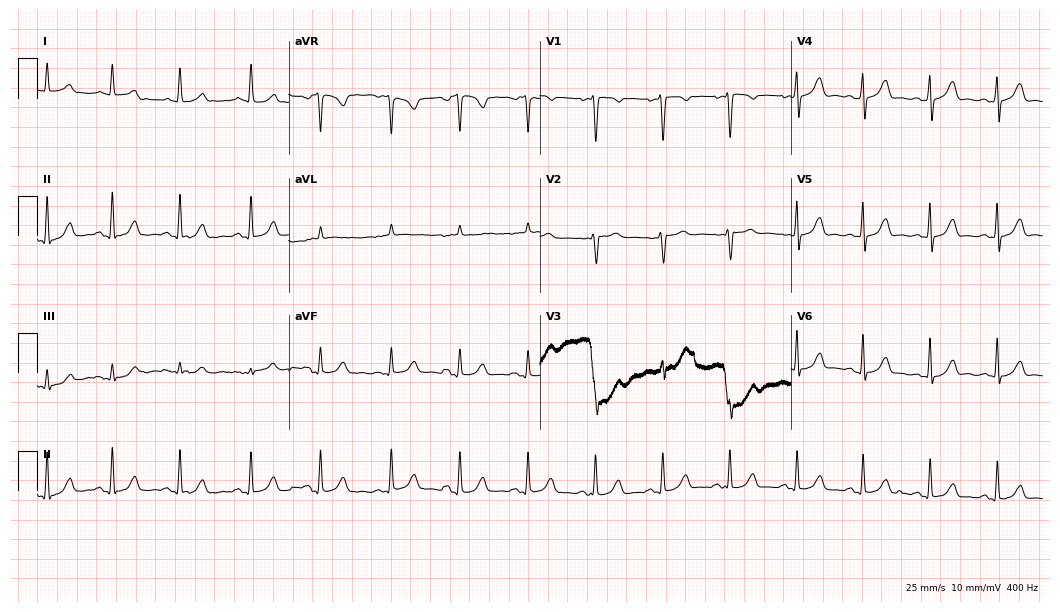
12-lead ECG from a female patient, 36 years old. Recorded interpretation: within normal limits.